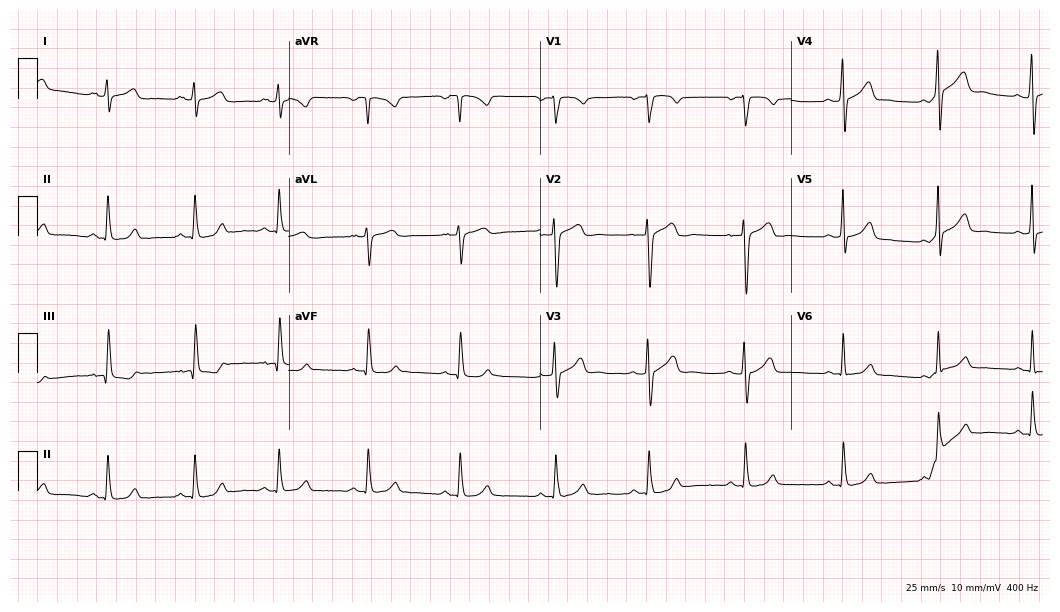
Electrocardiogram (10.2-second recording at 400 Hz), a 22-year-old male patient. Overall reading on record: normal ECG.